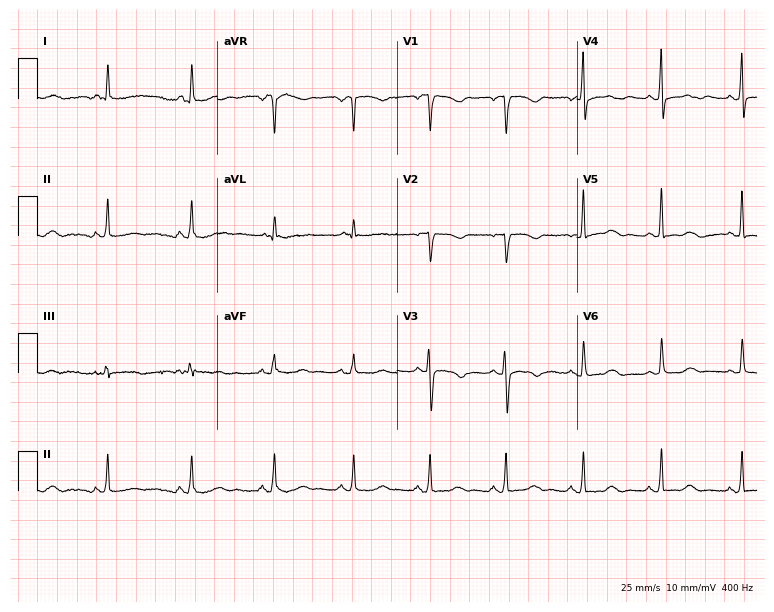
Resting 12-lead electrocardiogram. Patient: a 52-year-old female. None of these six findings is recorded: first-degree AV block, right bundle branch block, left bundle branch block, sinus bradycardia, atrial fibrillation, sinus tachycardia. Findings outside these six are not listed.